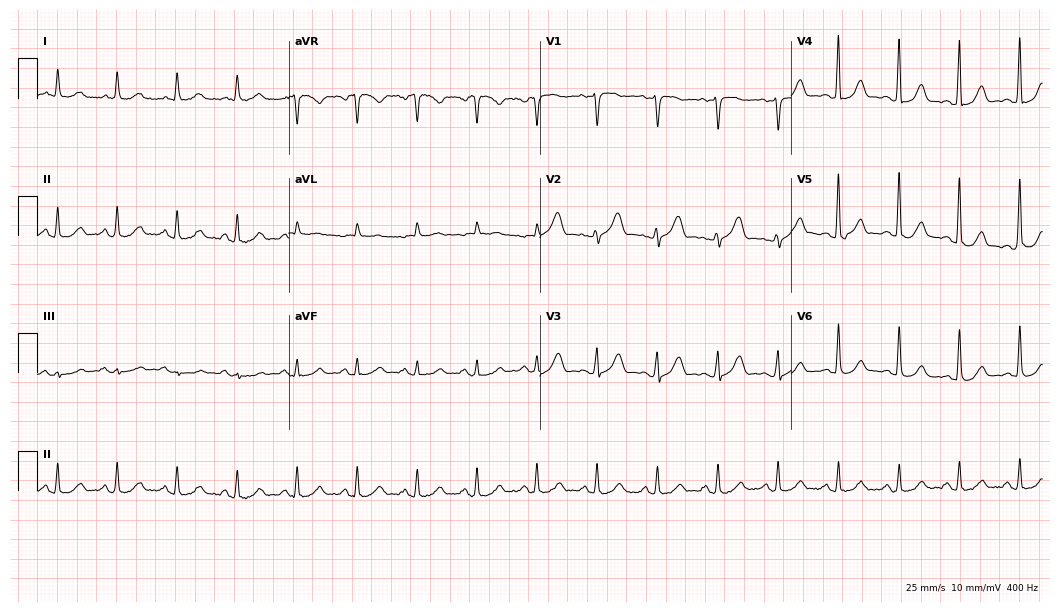
12-lead ECG from a woman, 61 years old (10.2-second recording at 400 Hz). No first-degree AV block, right bundle branch block (RBBB), left bundle branch block (LBBB), sinus bradycardia, atrial fibrillation (AF) or sinus tachycardia recorded for this tracing. Only these six findings were labelled.